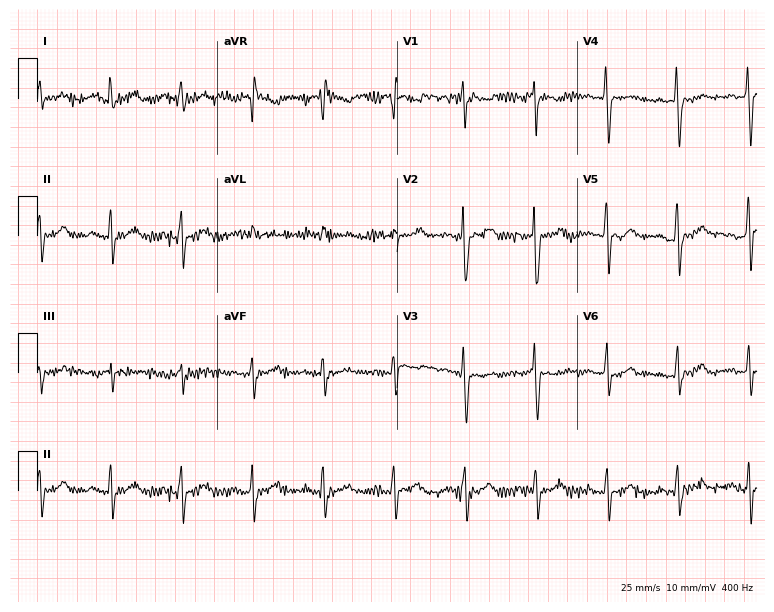
Resting 12-lead electrocardiogram. Patient: a female, 57 years old. None of these six findings is recorded: first-degree AV block, right bundle branch block, left bundle branch block, sinus bradycardia, atrial fibrillation, sinus tachycardia. Only these six findings were labelled.